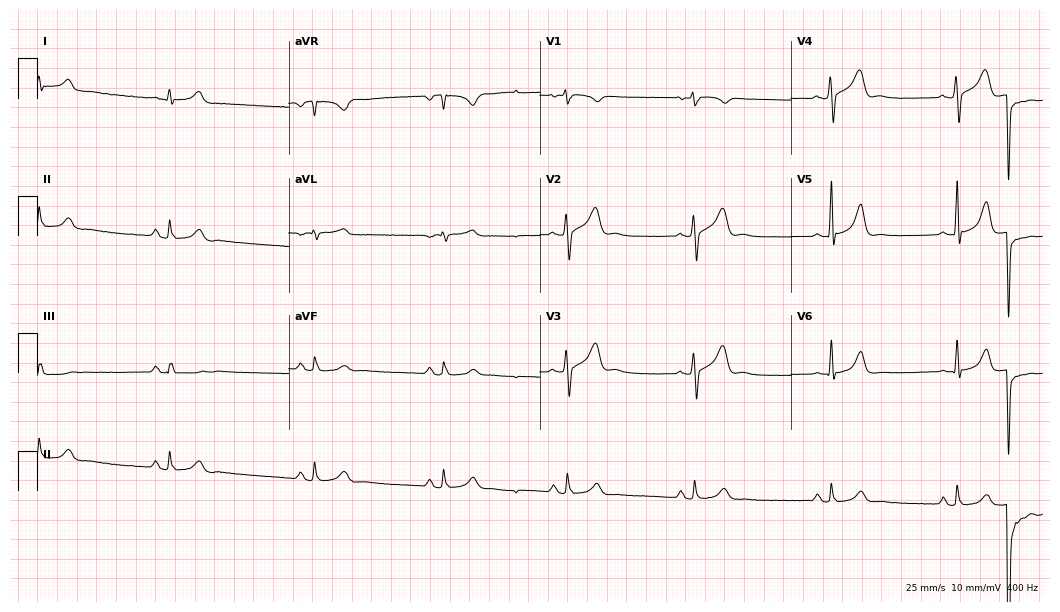
12-lead ECG from a 42-year-old male patient. No first-degree AV block, right bundle branch block, left bundle branch block, sinus bradycardia, atrial fibrillation or sinus tachycardia recorded for this tracing. Other findings, if any, are not listed.